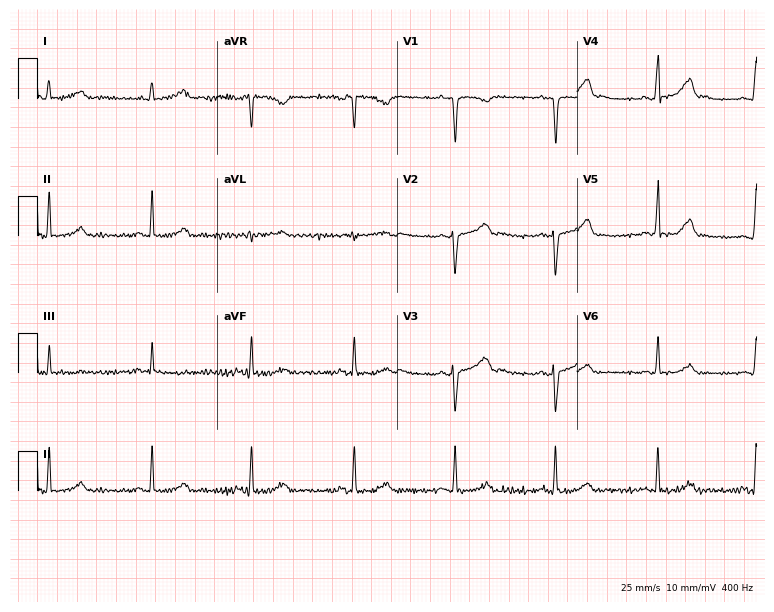
ECG — a female patient, 28 years old. Labelled as a normal ECG.